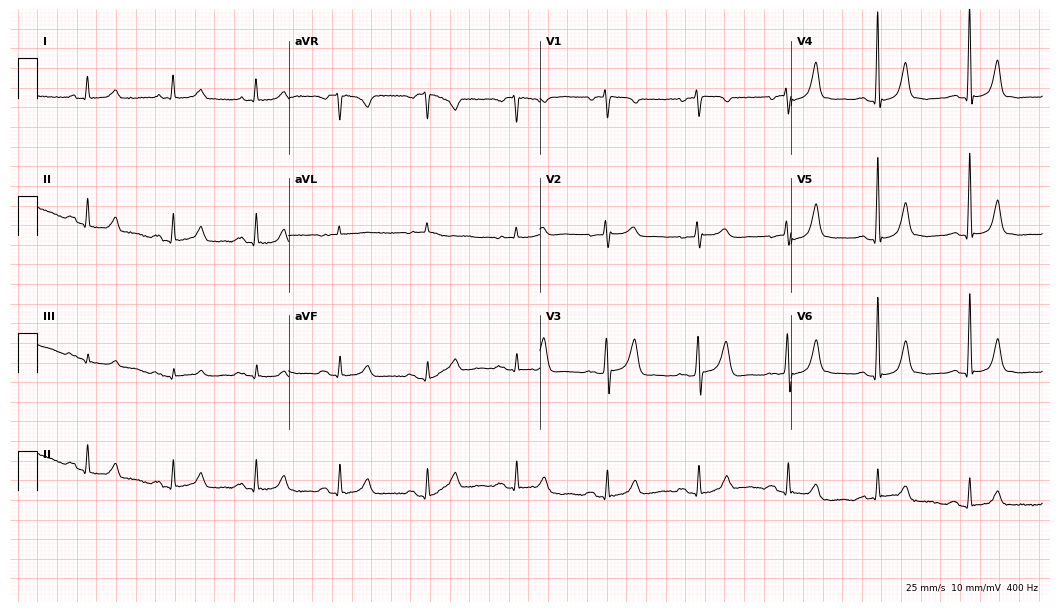
ECG (10.2-second recording at 400 Hz) — a 62-year-old female. Screened for six findings — first-degree AV block, right bundle branch block (RBBB), left bundle branch block (LBBB), sinus bradycardia, atrial fibrillation (AF), sinus tachycardia — none is recorded.